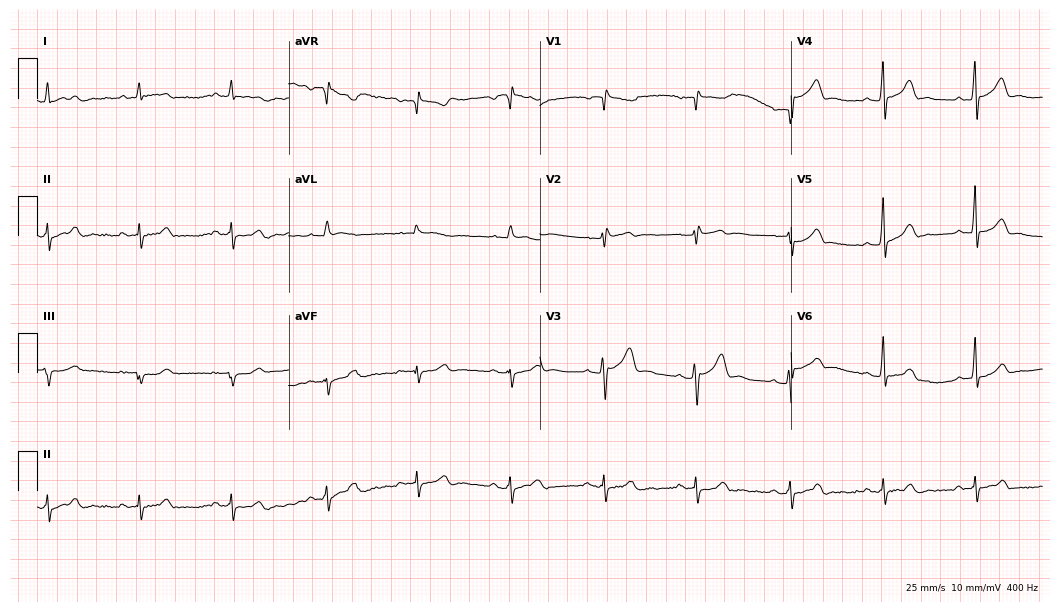
12-lead ECG from a male, 75 years old. Screened for six findings — first-degree AV block, right bundle branch block (RBBB), left bundle branch block (LBBB), sinus bradycardia, atrial fibrillation (AF), sinus tachycardia — none is recorded. Other findings, if any, are not listed.